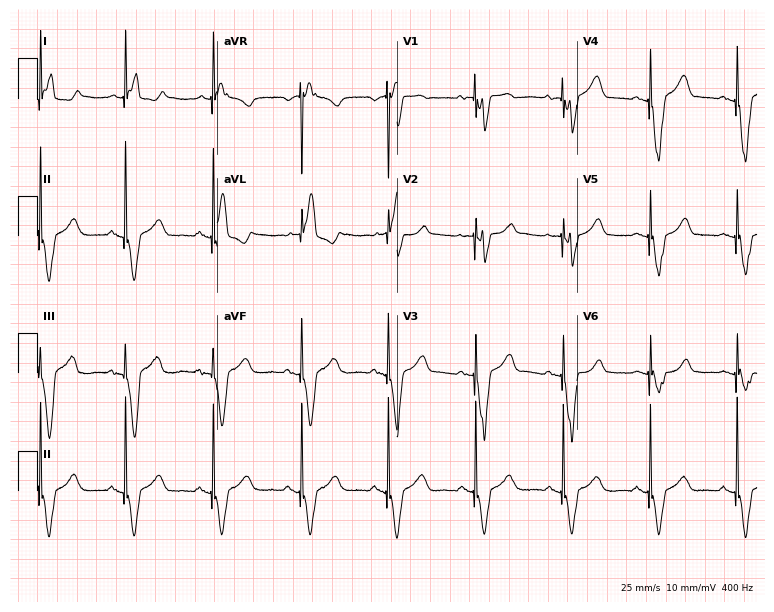
12-lead ECG (7.3-second recording at 400 Hz) from a 69-year-old female. Screened for six findings — first-degree AV block, right bundle branch block (RBBB), left bundle branch block (LBBB), sinus bradycardia, atrial fibrillation (AF), sinus tachycardia — none is recorded. Findings outside these six are not listed.